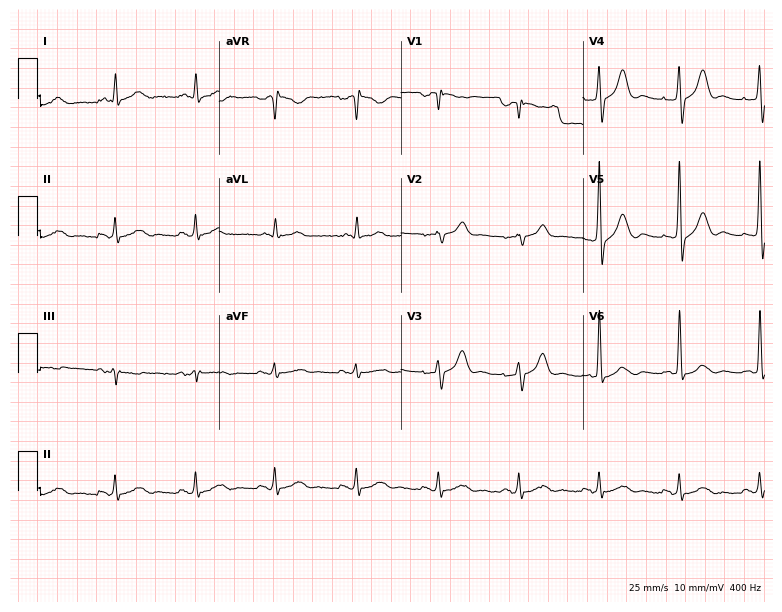
Standard 12-lead ECG recorded from a 77-year-old male. None of these six findings is recorded: first-degree AV block, right bundle branch block (RBBB), left bundle branch block (LBBB), sinus bradycardia, atrial fibrillation (AF), sinus tachycardia. Only these six findings were labelled.